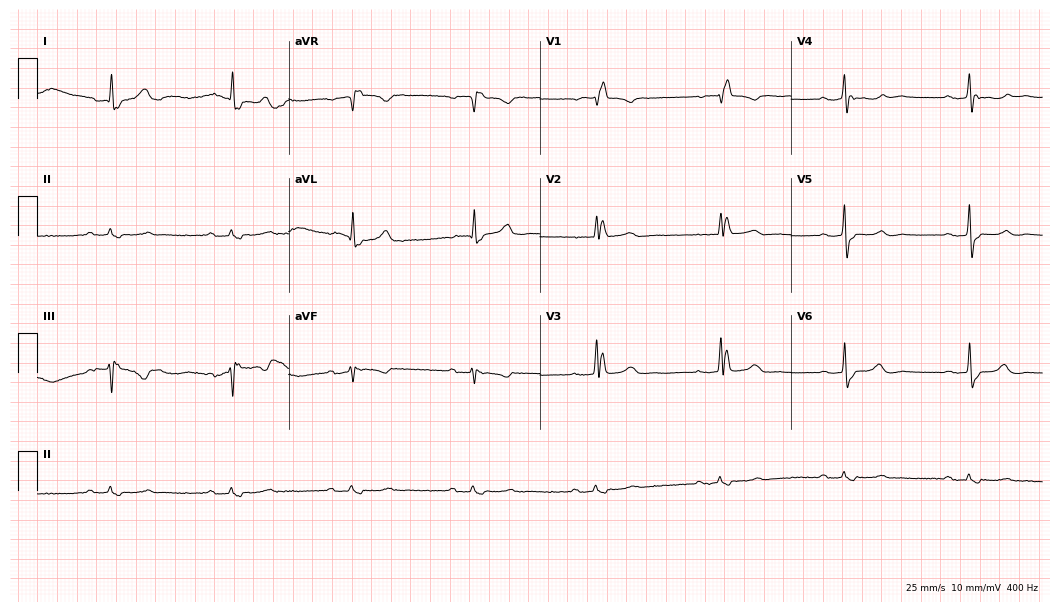
Resting 12-lead electrocardiogram (10.2-second recording at 400 Hz). Patient: a woman, 77 years old. The tracing shows first-degree AV block, right bundle branch block (RBBB).